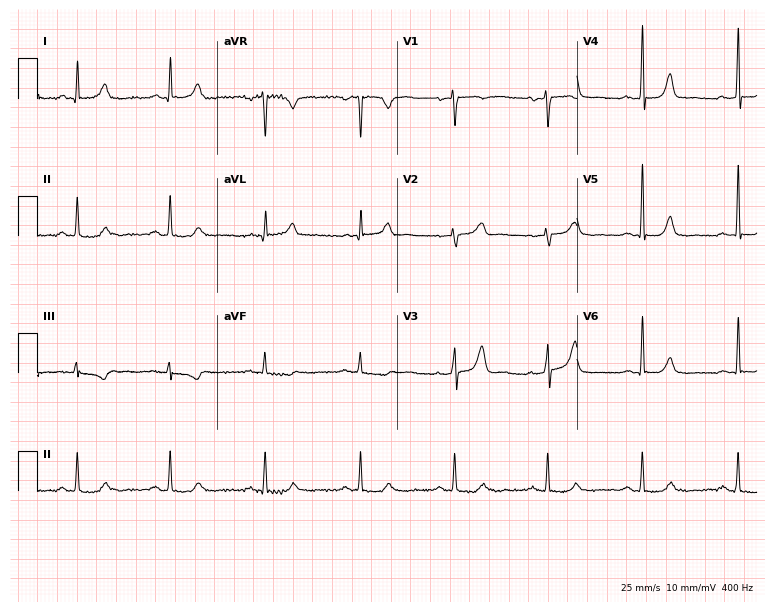
12-lead ECG from a 73-year-old female patient. No first-degree AV block, right bundle branch block, left bundle branch block, sinus bradycardia, atrial fibrillation or sinus tachycardia recorded for this tracing.